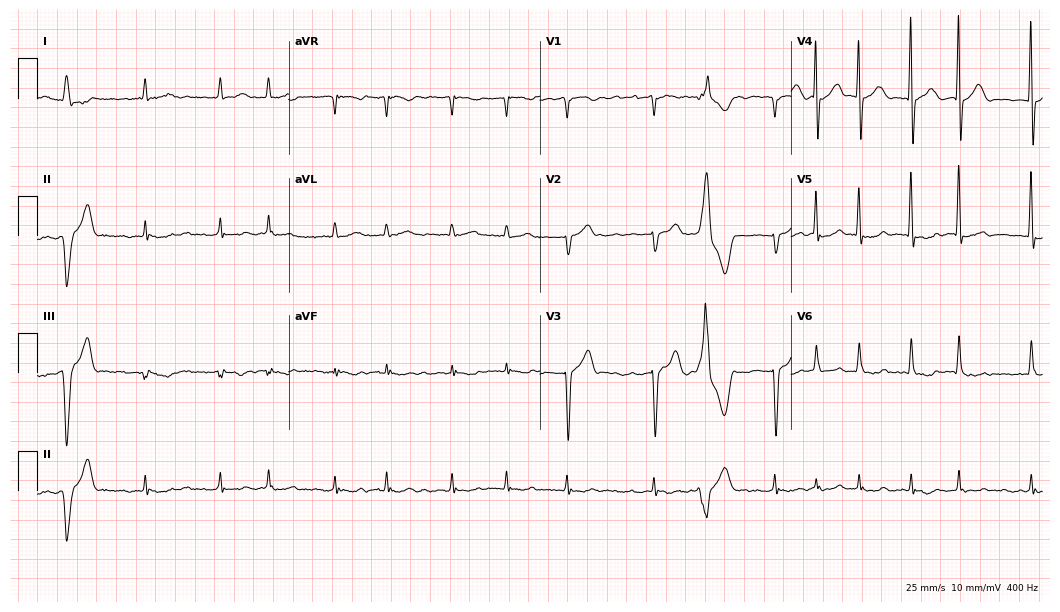
12-lead ECG (10.2-second recording at 400 Hz) from an 82-year-old man. Findings include atrial fibrillation.